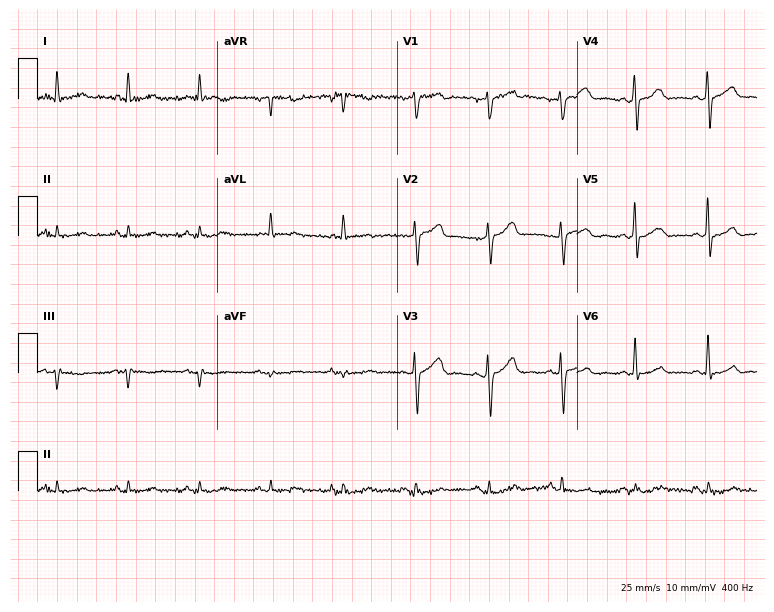
Electrocardiogram (7.3-second recording at 400 Hz), a man, 76 years old. Of the six screened findings (first-degree AV block, right bundle branch block (RBBB), left bundle branch block (LBBB), sinus bradycardia, atrial fibrillation (AF), sinus tachycardia), none is recorded.